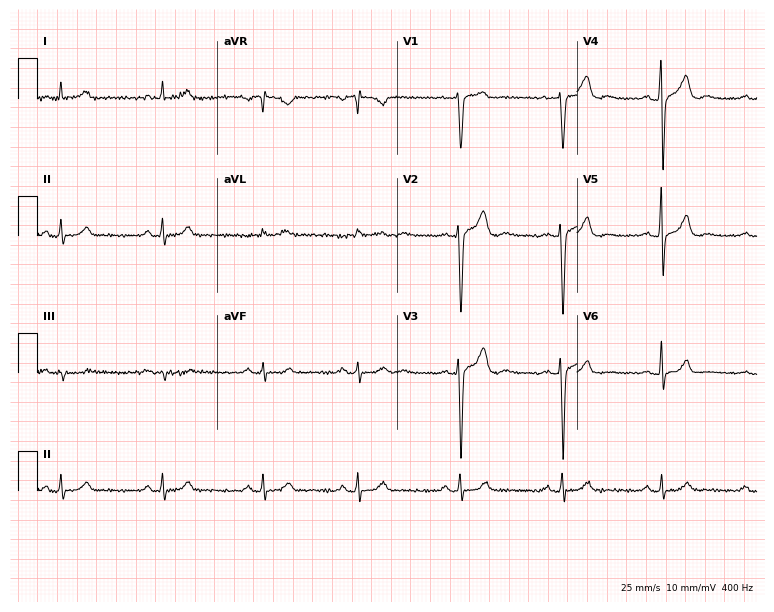
Electrocardiogram (7.3-second recording at 400 Hz), a male, 37 years old. Overall reading on record: normal ECG.